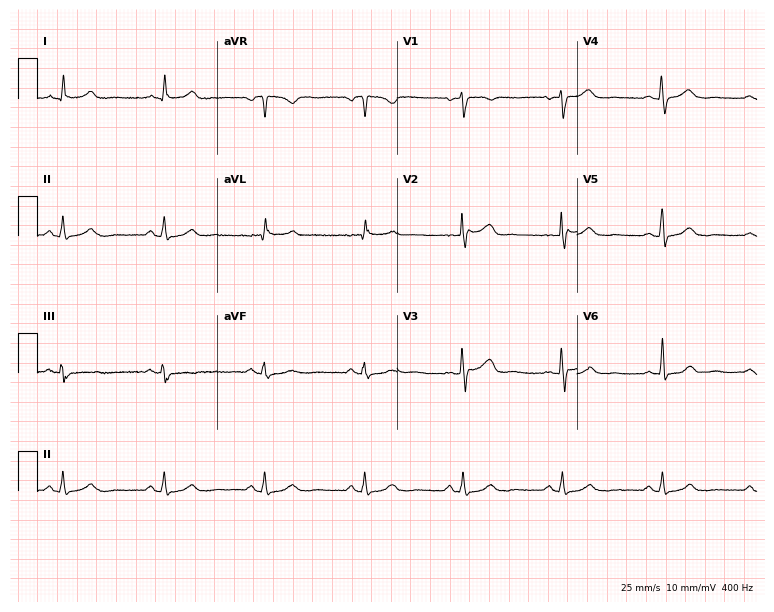
Resting 12-lead electrocardiogram (7.3-second recording at 400 Hz). Patient: a 53-year-old female. Read as a normal ECG.